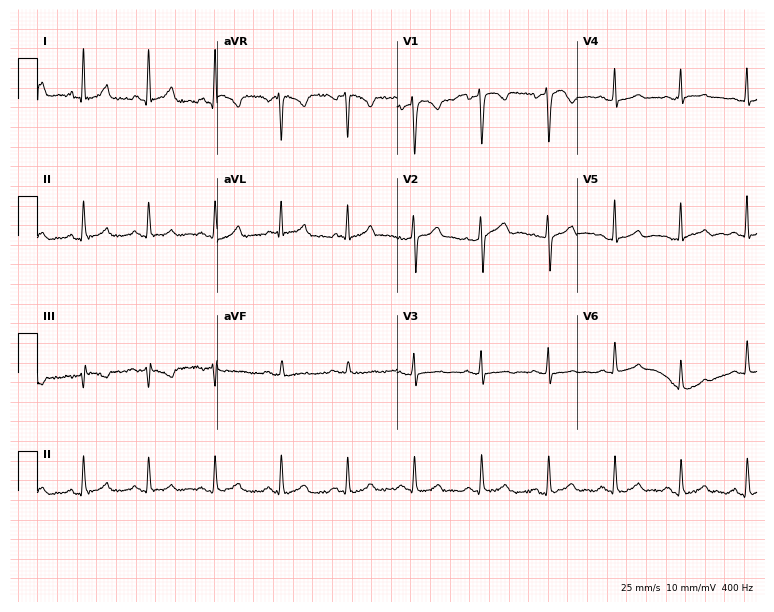
12-lead ECG from a female patient, 46 years old. No first-degree AV block, right bundle branch block (RBBB), left bundle branch block (LBBB), sinus bradycardia, atrial fibrillation (AF) or sinus tachycardia recorded for this tracing.